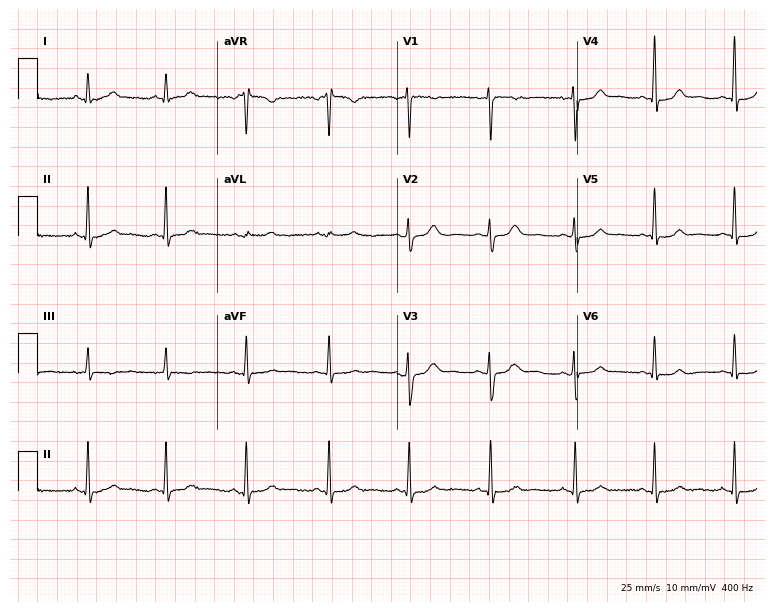
Electrocardiogram (7.3-second recording at 400 Hz), a 21-year-old female patient. Overall reading on record: normal ECG.